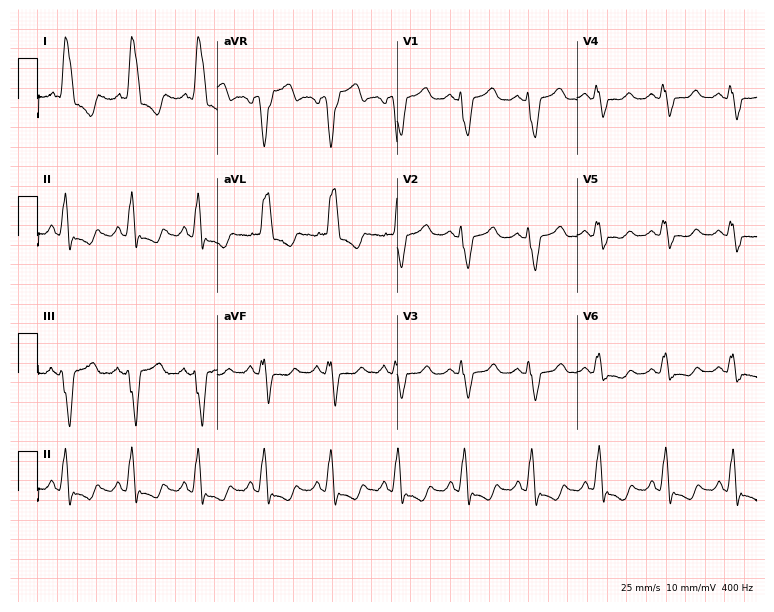
Standard 12-lead ECG recorded from a woman, 66 years old (7.3-second recording at 400 Hz). None of these six findings is recorded: first-degree AV block, right bundle branch block, left bundle branch block, sinus bradycardia, atrial fibrillation, sinus tachycardia. Findings outside these six are not listed.